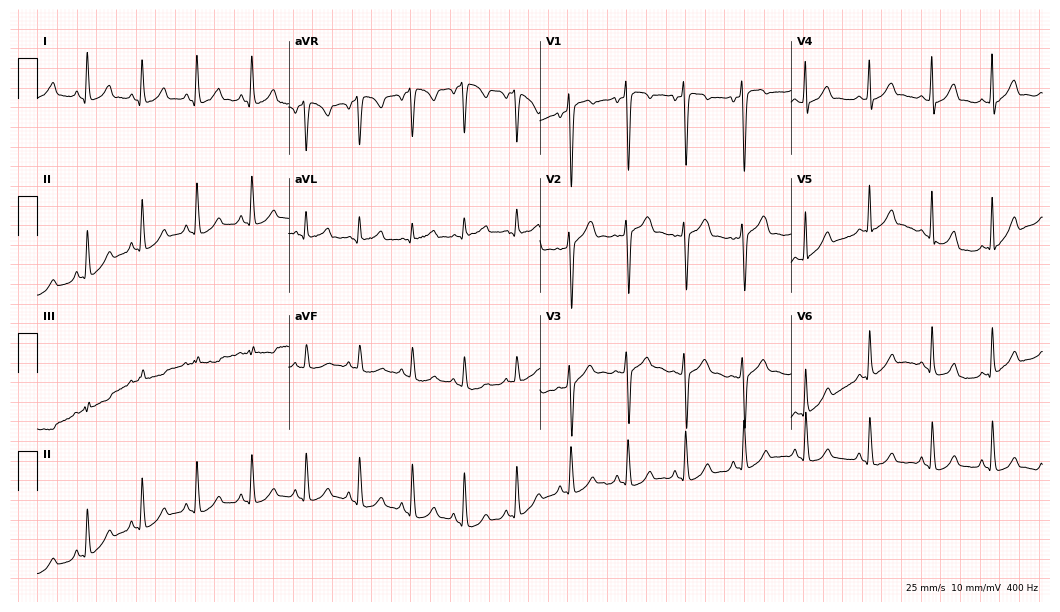
Electrocardiogram (10.2-second recording at 400 Hz), a 24-year-old female patient. Interpretation includes sinus tachycardia (a sinus rate of 100 beats per minute or more).